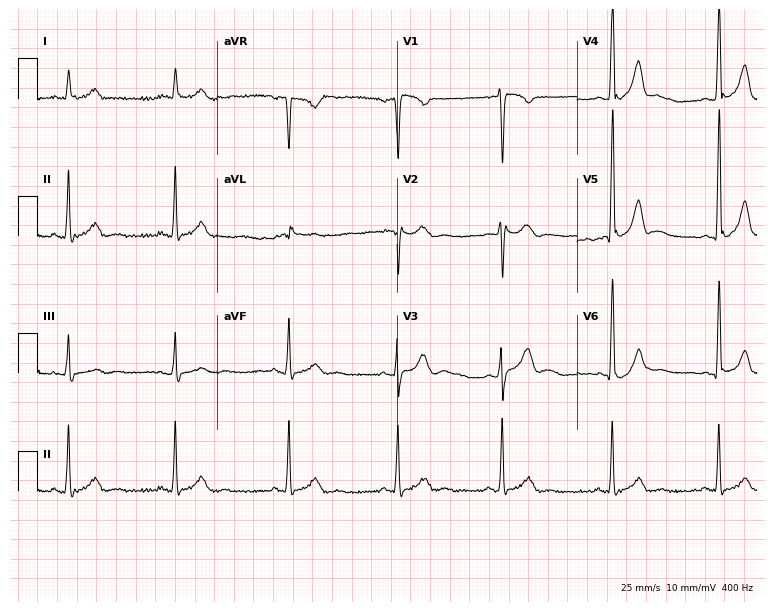
12-lead ECG from a 40-year-old man (7.3-second recording at 400 Hz). No first-degree AV block, right bundle branch block, left bundle branch block, sinus bradycardia, atrial fibrillation or sinus tachycardia recorded for this tracing. Only these six findings were labelled.